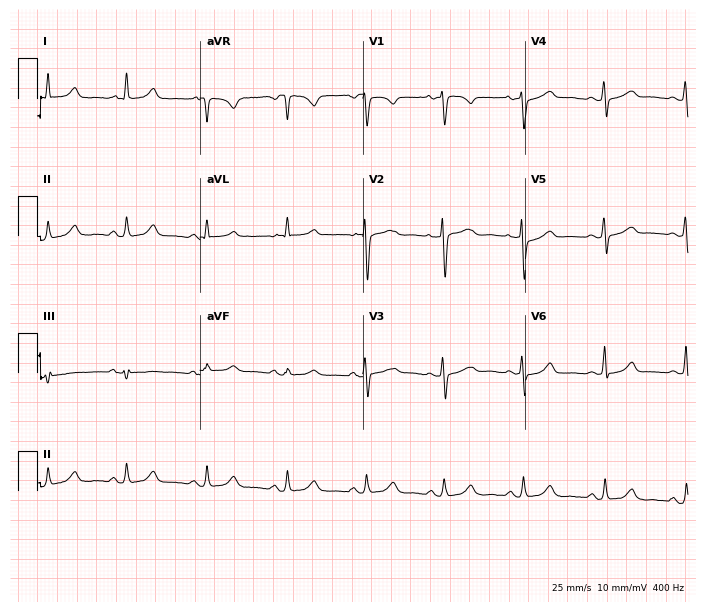
12-lead ECG from a 75-year-old woman. Screened for six findings — first-degree AV block, right bundle branch block, left bundle branch block, sinus bradycardia, atrial fibrillation, sinus tachycardia — none is recorded. Only these six findings were labelled.